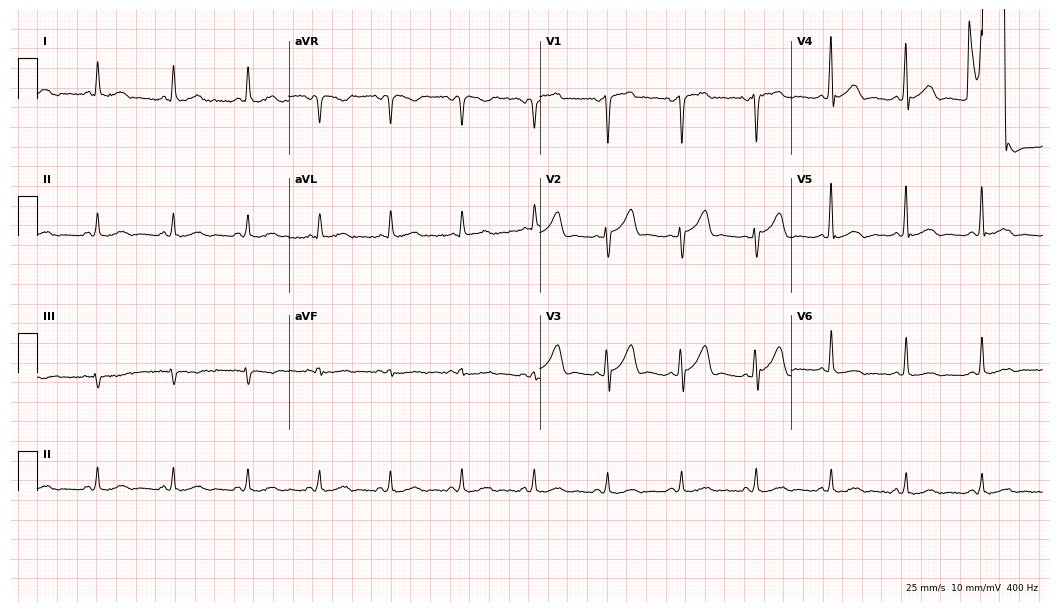
12-lead ECG from a 70-year-old male patient. Labelled as a normal ECG.